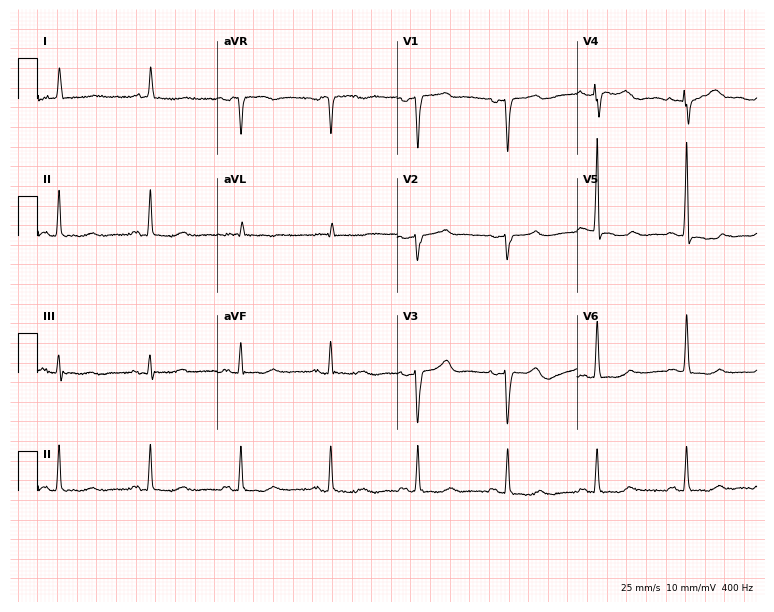
Electrocardiogram, a 61-year-old woman. Of the six screened findings (first-degree AV block, right bundle branch block, left bundle branch block, sinus bradycardia, atrial fibrillation, sinus tachycardia), none is recorded.